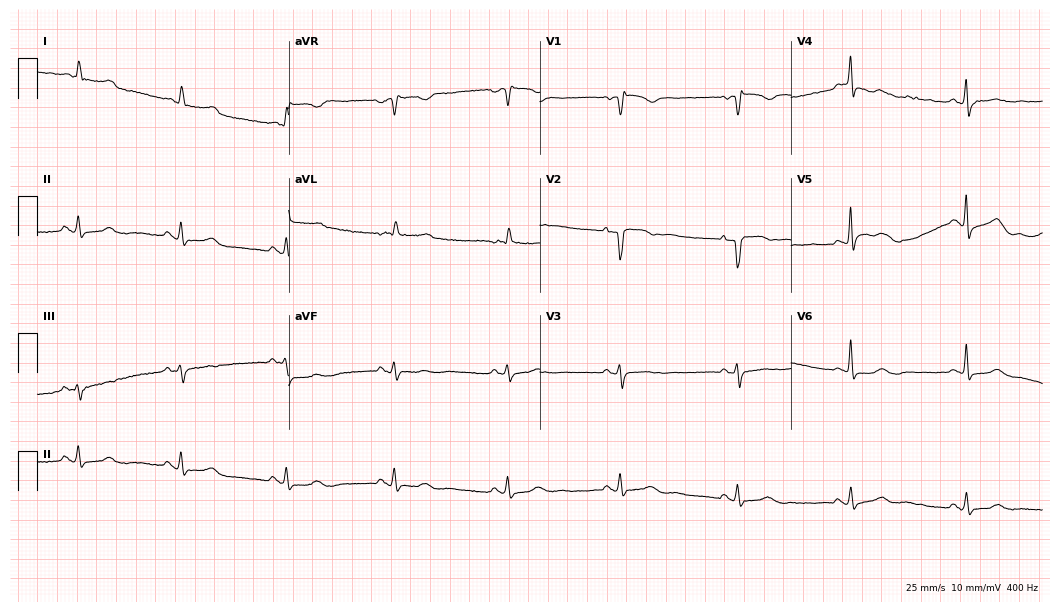
12-lead ECG (10.2-second recording at 400 Hz) from a 79-year-old female. Screened for six findings — first-degree AV block, right bundle branch block, left bundle branch block, sinus bradycardia, atrial fibrillation, sinus tachycardia — none is recorded. Findings outside these six are not listed.